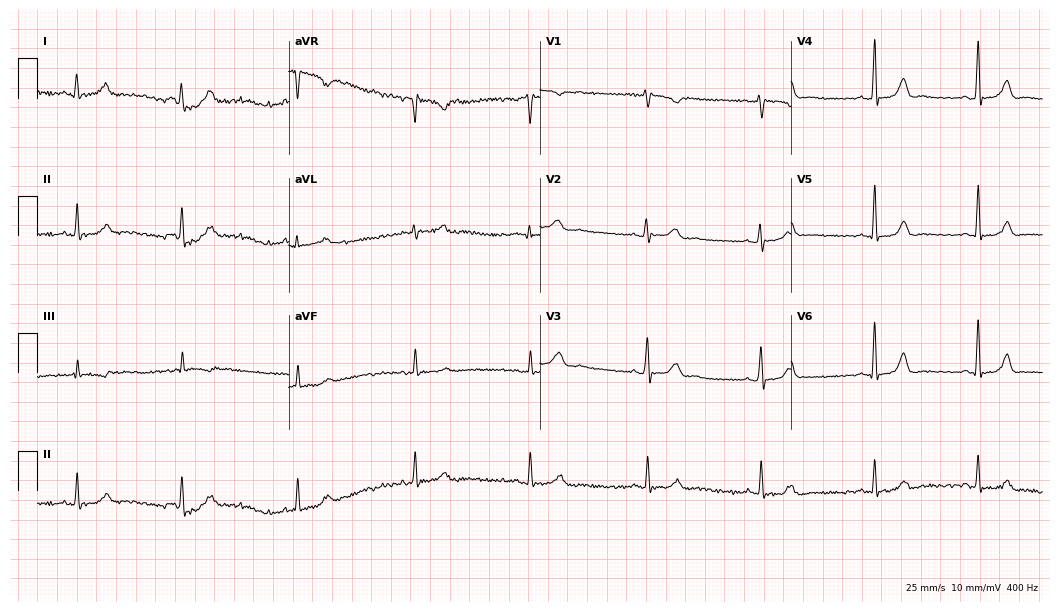
12-lead ECG (10.2-second recording at 400 Hz) from a 35-year-old female. Labelled as a normal ECG.